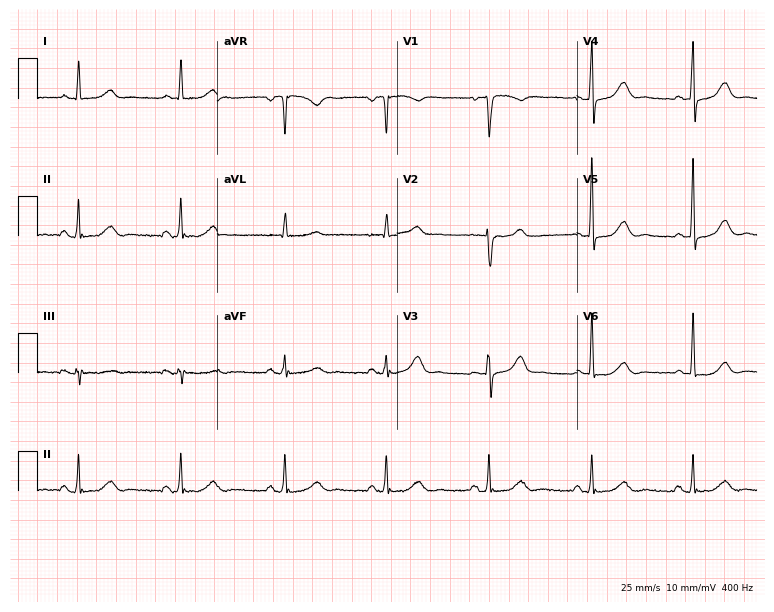
12-lead ECG from a 54-year-old woman. Recorded interpretation: within normal limits.